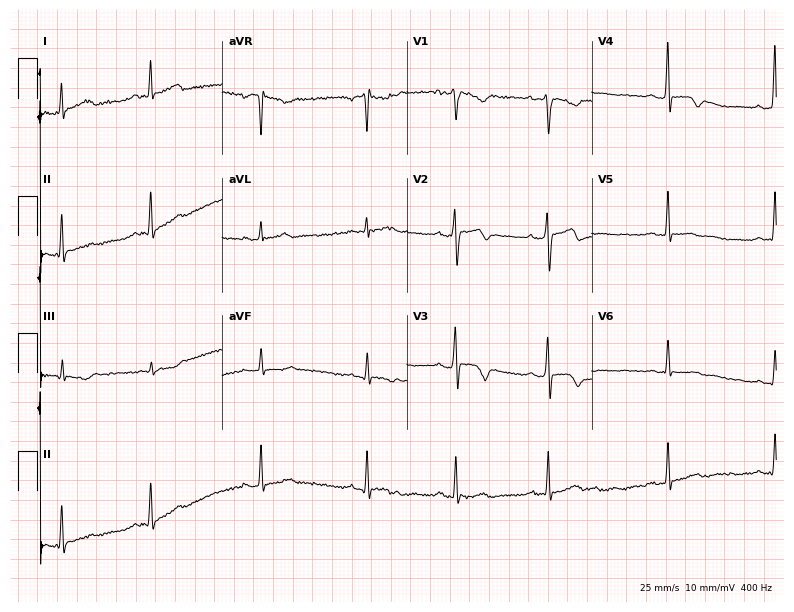
ECG (7.5-second recording at 400 Hz) — a man, 21 years old. Screened for six findings — first-degree AV block, right bundle branch block, left bundle branch block, sinus bradycardia, atrial fibrillation, sinus tachycardia — none is recorded.